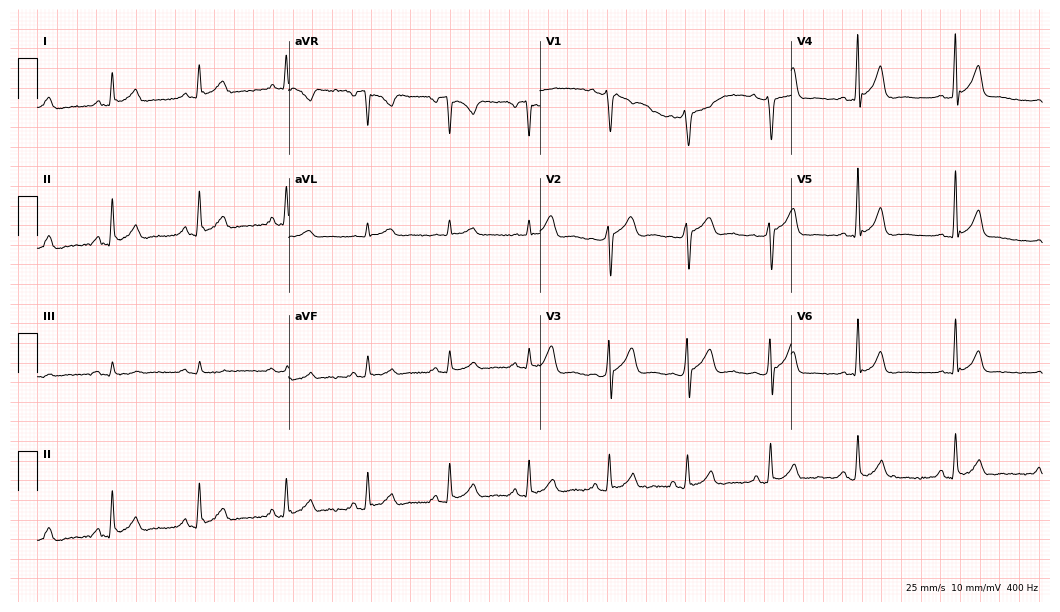
12-lead ECG from a male, 41 years old. Recorded interpretation: within normal limits.